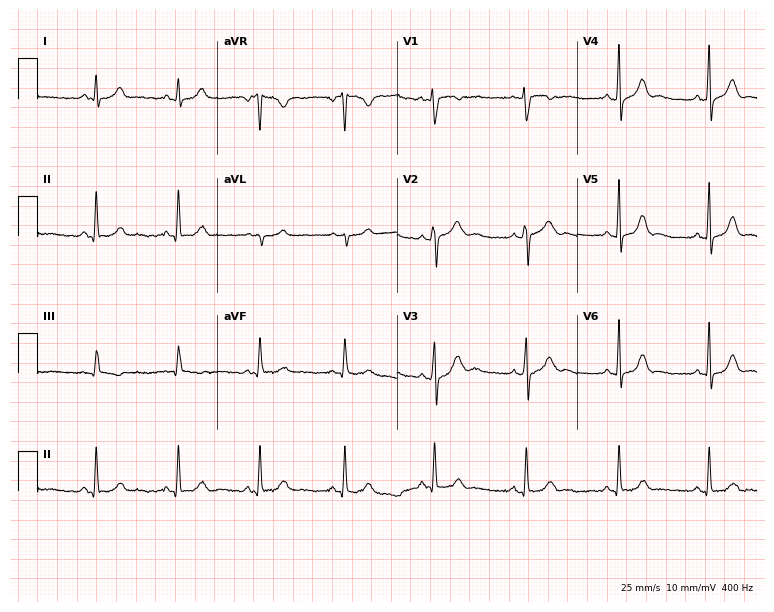
Electrocardiogram, a female, 27 years old. Of the six screened findings (first-degree AV block, right bundle branch block, left bundle branch block, sinus bradycardia, atrial fibrillation, sinus tachycardia), none is recorded.